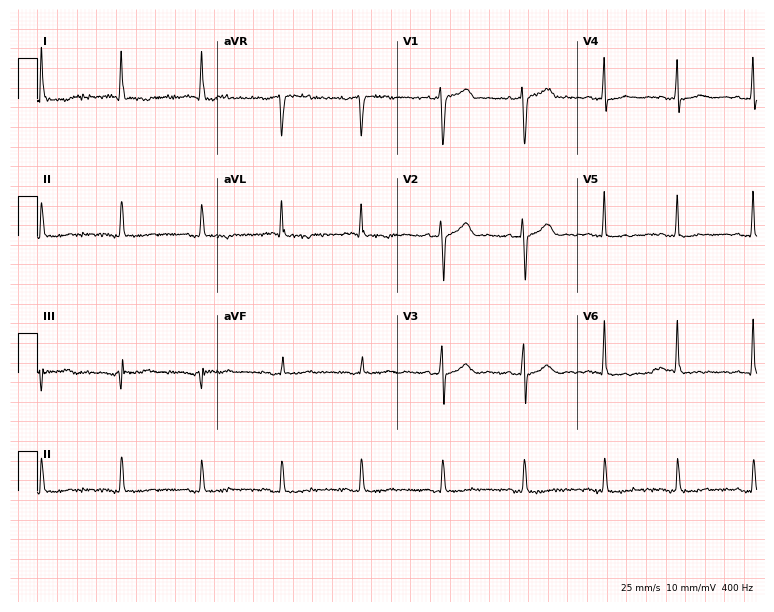
12-lead ECG from a 73-year-old female. No first-degree AV block, right bundle branch block, left bundle branch block, sinus bradycardia, atrial fibrillation or sinus tachycardia recorded for this tracing. Other findings, if any, are not listed.